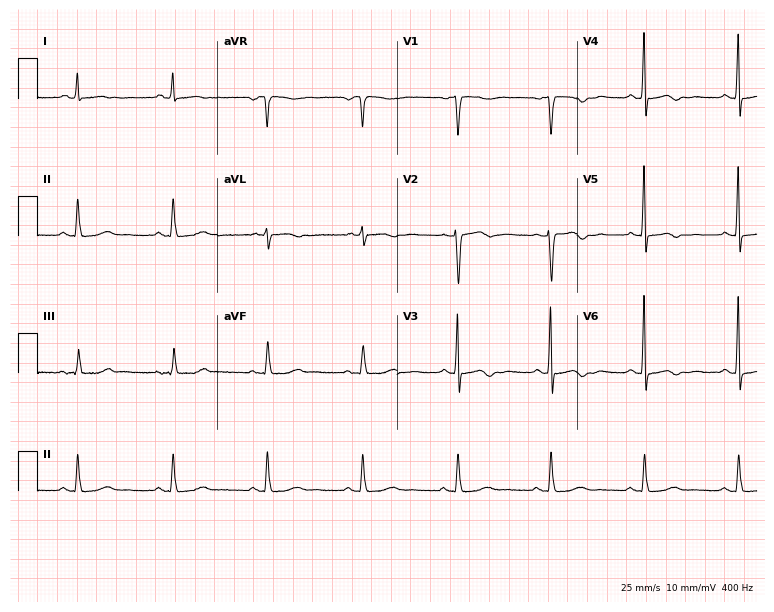
ECG (7.3-second recording at 400 Hz) — a 62-year-old female patient. Screened for six findings — first-degree AV block, right bundle branch block (RBBB), left bundle branch block (LBBB), sinus bradycardia, atrial fibrillation (AF), sinus tachycardia — none is recorded.